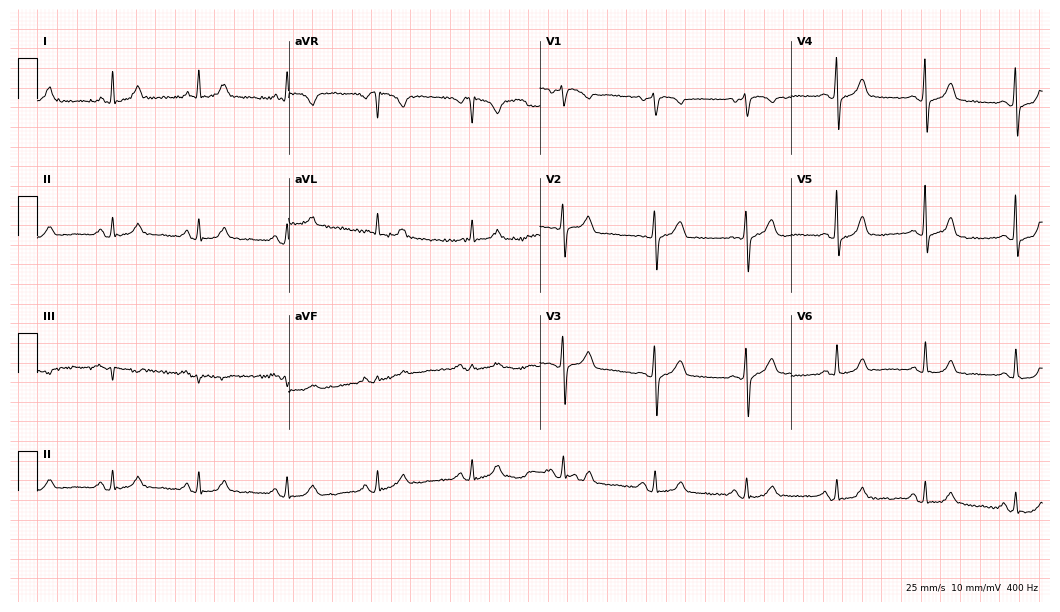
12-lead ECG from a 58-year-old female patient. Recorded interpretation: within normal limits.